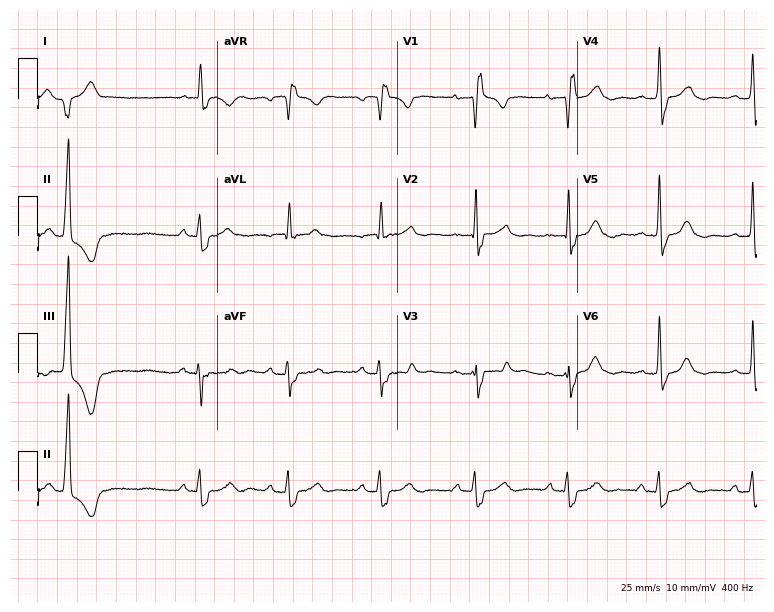
Standard 12-lead ECG recorded from a 68-year-old woman (7.3-second recording at 400 Hz). The tracing shows right bundle branch block.